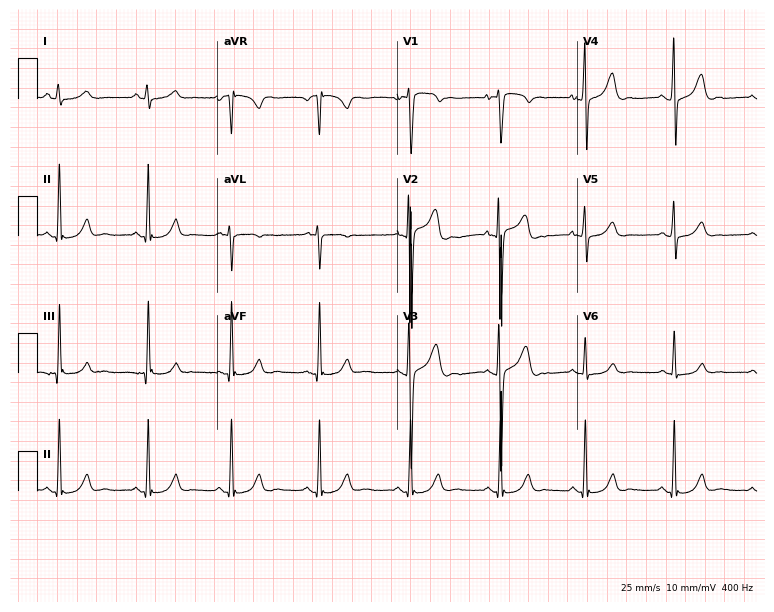
Standard 12-lead ECG recorded from a male, 17 years old. Read as a normal ECG.